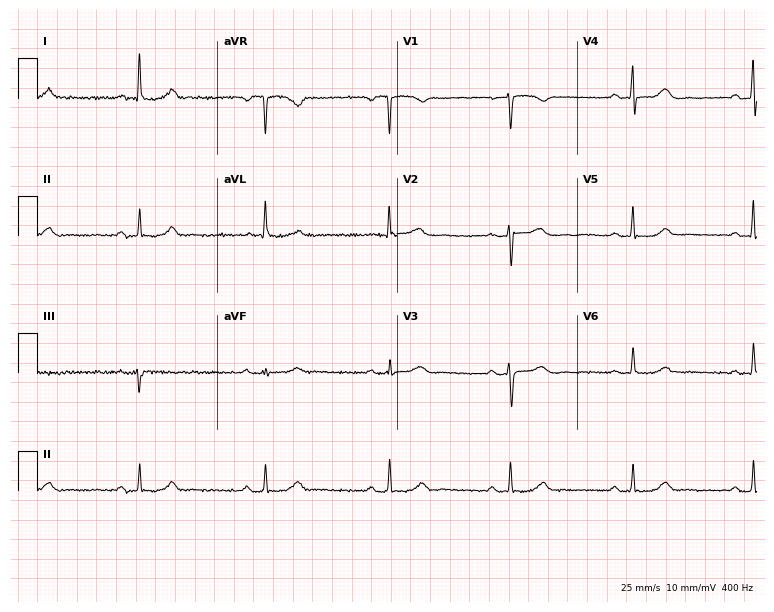
Resting 12-lead electrocardiogram (7.3-second recording at 400 Hz). Patient: a female, 60 years old. Read as a normal ECG.